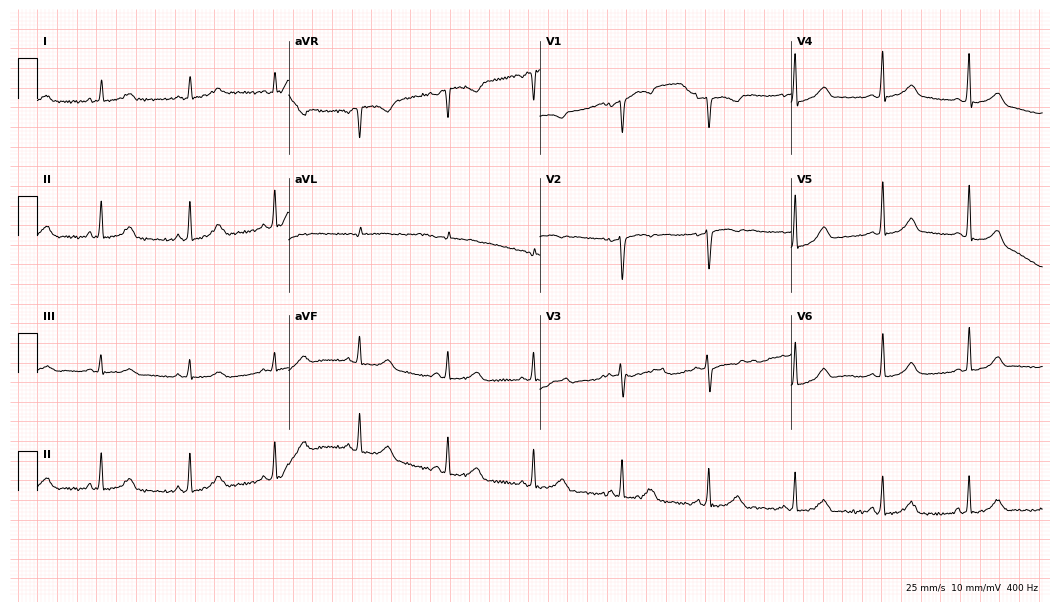
ECG (10.2-second recording at 400 Hz) — a 20-year-old female. Labelled as a normal ECG.